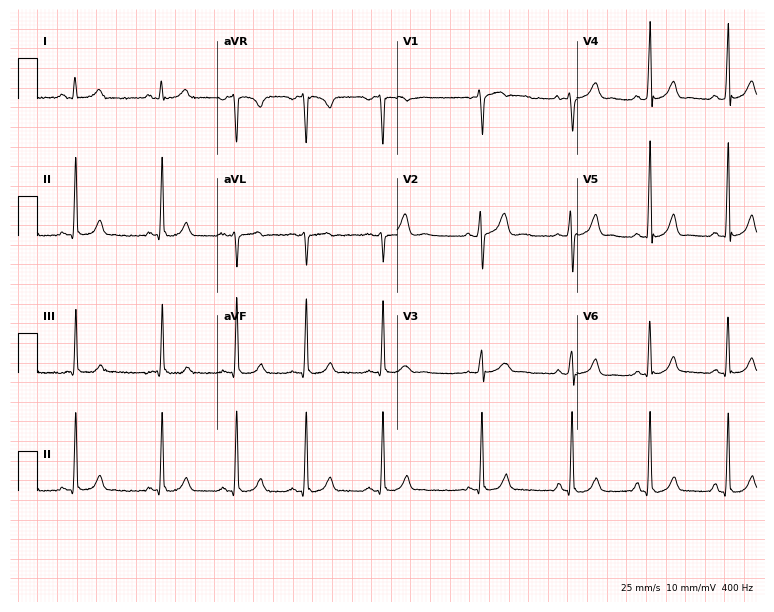
Resting 12-lead electrocardiogram (7.3-second recording at 400 Hz). Patient: a female, 22 years old. Read as a normal ECG.